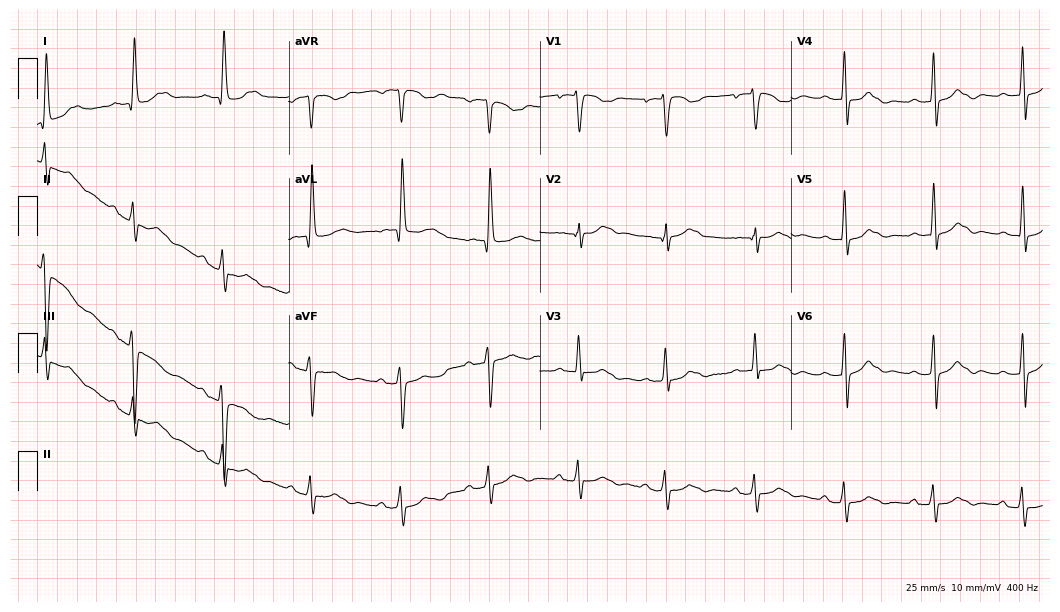
12-lead ECG from an 85-year-old male. Screened for six findings — first-degree AV block, right bundle branch block (RBBB), left bundle branch block (LBBB), sinus bradycardia, atrial fibrillation (AF), sinus tachycardia — none is recorded. Findings outside these six are not listed.